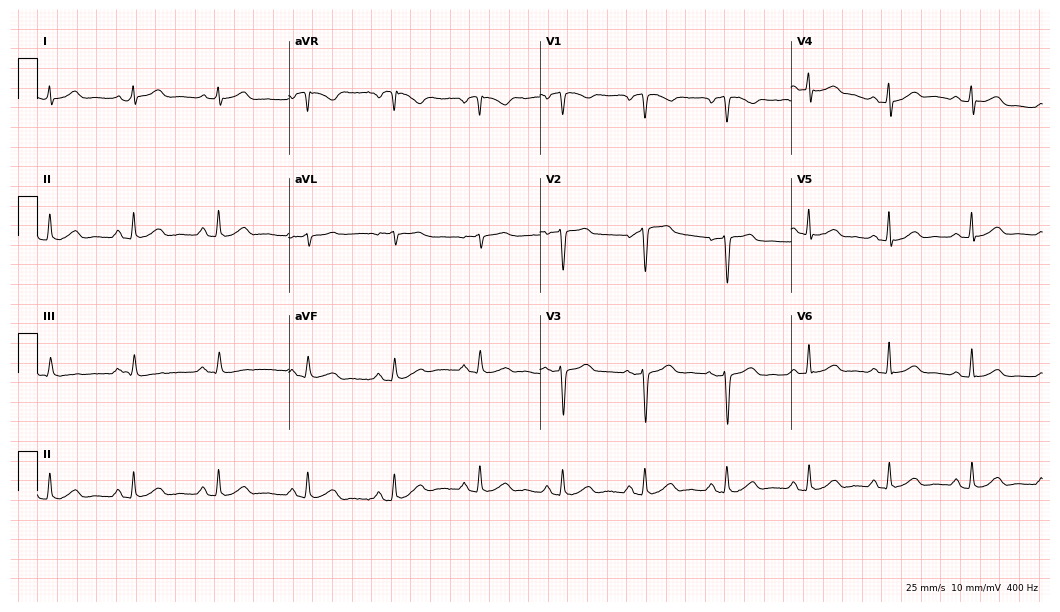
12-lead ECG from a 52-year-old woman. Labelled as a normal ECG.